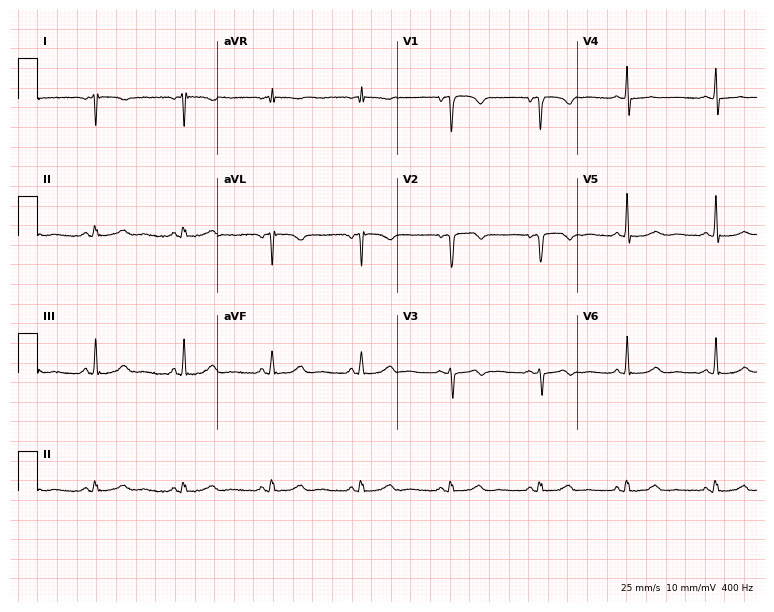
Resting 12-lead electrocardiogram (7.3-second recording at 400 Hz). Patient: a female, 59 years old. None of these six findings is recorded: first-degree AV block, right bundle branch block, left bundle branch block, sinus bradycardia, atrial fibrillation, sinus tachycardia. Only these six findings were labelled.